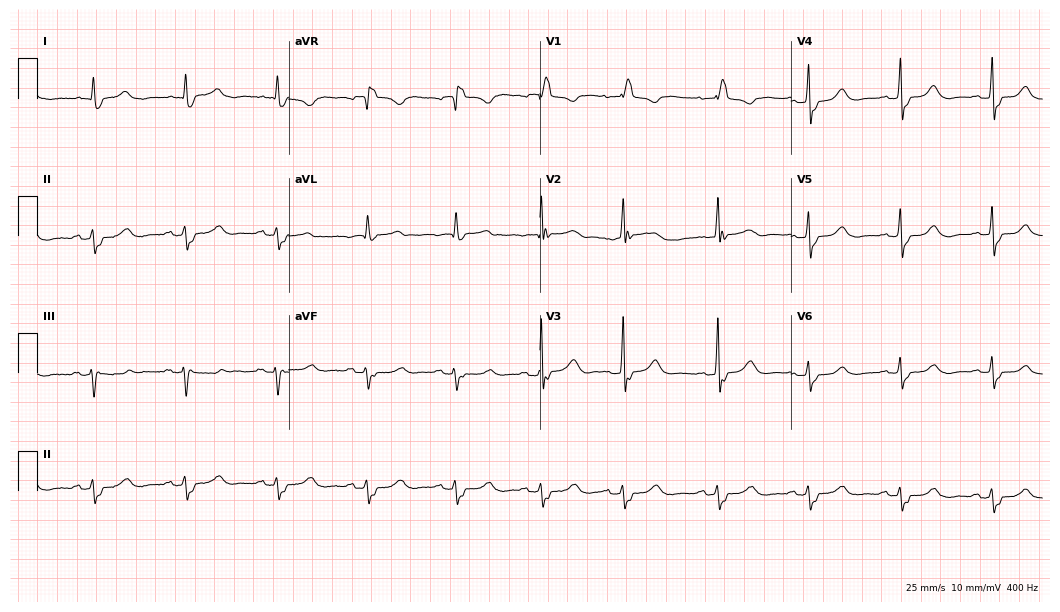
Resting 12-lead electrocardiogram. Patient: a 70-year-old female. The tracing shows right bundle branch block.